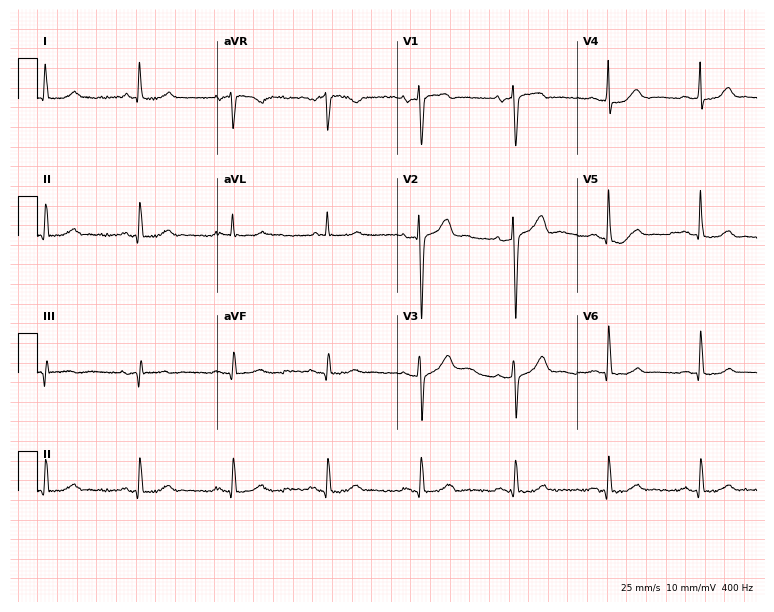
ECG (7.3-second recording at 400 Hz) — a male, 81 years old. Labelled as a normal ECG.